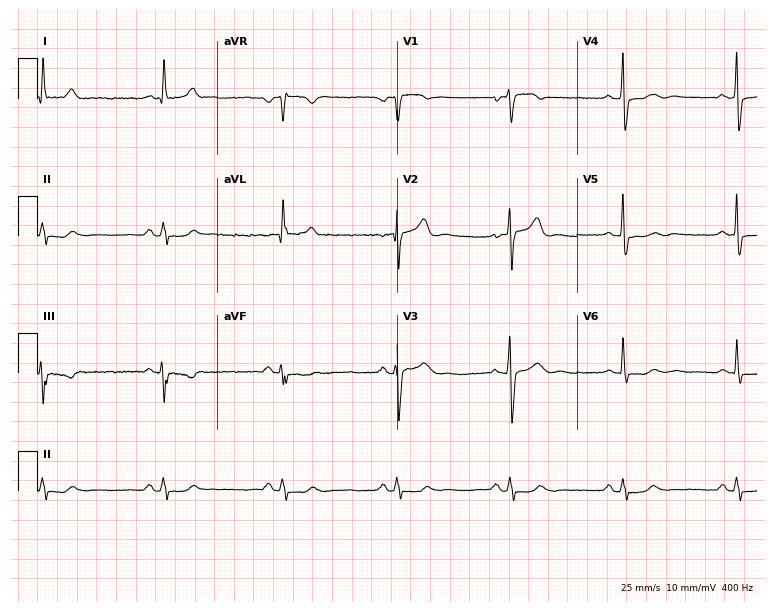
Electrocardiogram (7.3-second recording at 400 Hz), a male, 70 years old. Of the six screened findings (first-degree AV block, right bundle branch block, left bundle branch block, sinus bradycardia, atrial fibrillation, sinus tachycardia), none is recorded.